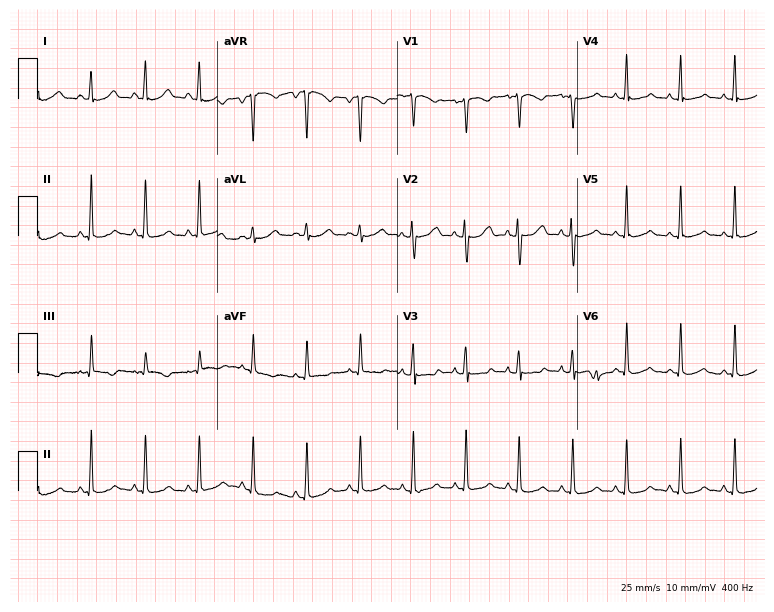
Standard 12-lead ECG recorded from an 18-year-old woman. None of these six findings is recorded: first-degree AV block, right bundle branch block, left bundle branch block, sinus bradycardia, atrial fibrillation, sinus tachycardia. Findings outside these six are not listed.